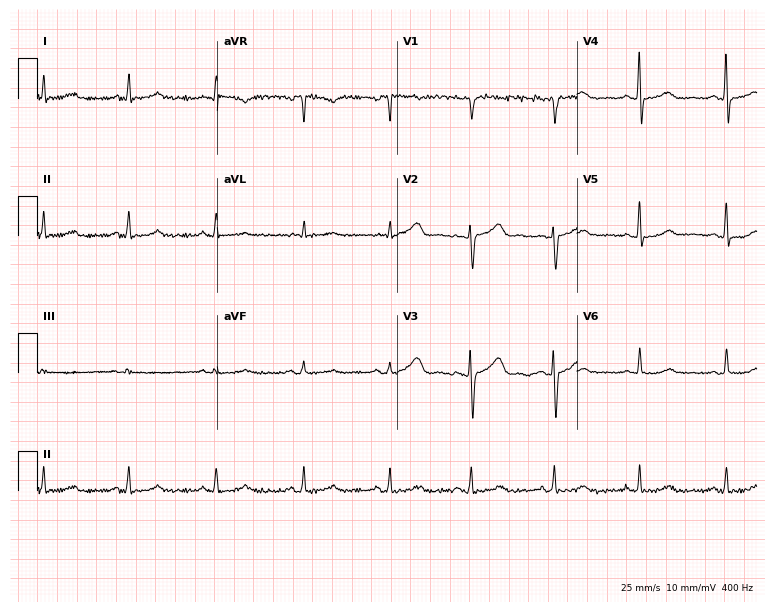
ECG (7.3-second recording at 400 Hz) — a 51-year-old female. Screened for six findings — first-degree AV block, right bundle branch block, left bundle branch block, sinus bradycardia, atrial fibrillation, sinus tachycardia — none is recorded. Only these six findings were labelled.